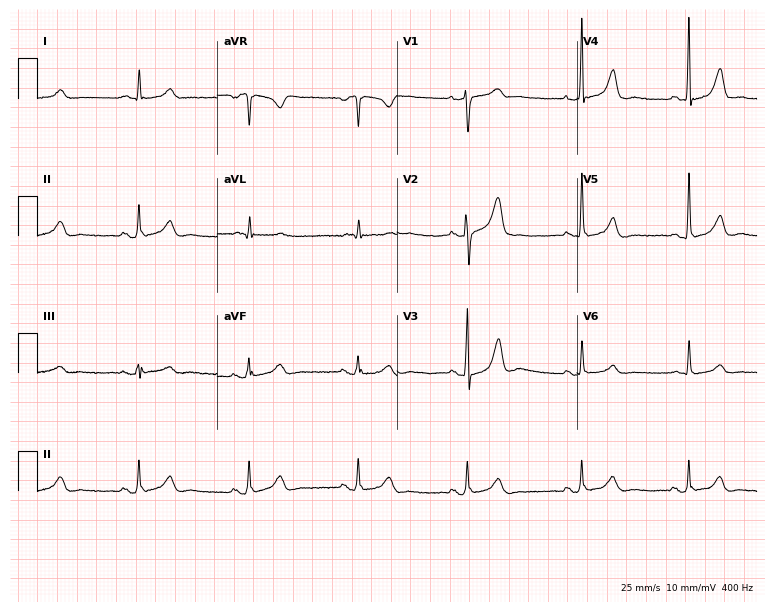
12-lead ECG from a 67-year-old male patient. Screened for six findings — first-degree AV block, right bundle branch block (RBBB), left bundle branch block (LBBB), sinus bradycardia, atrial fibrillation (AF), sinus tachycardia — none is recorded. Other findings, if any, are not listed.